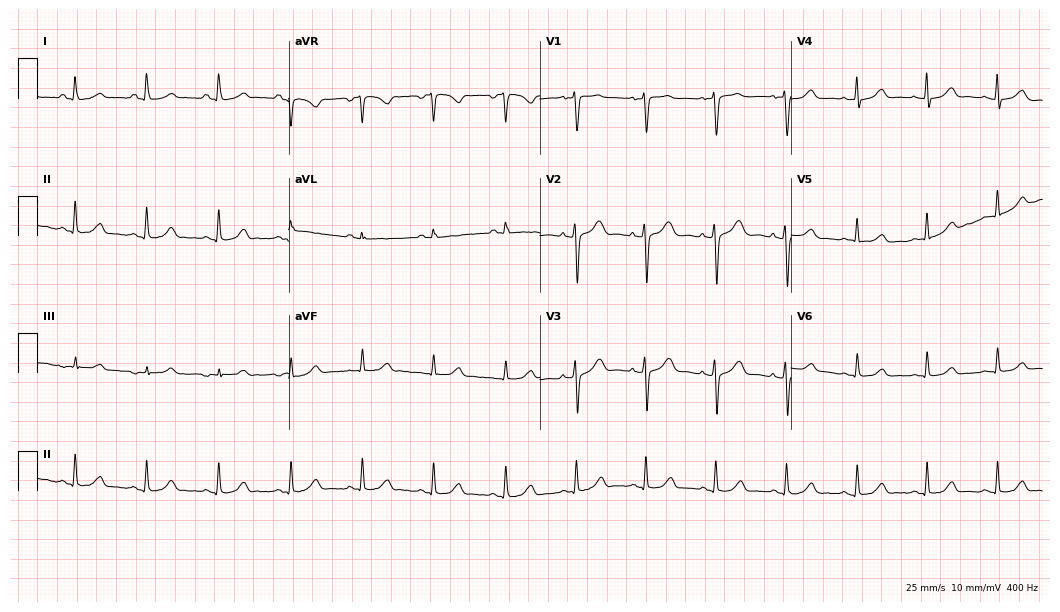
12-lead ECG from a 32-year-old woman. Recorded interpretation: within normal limits.